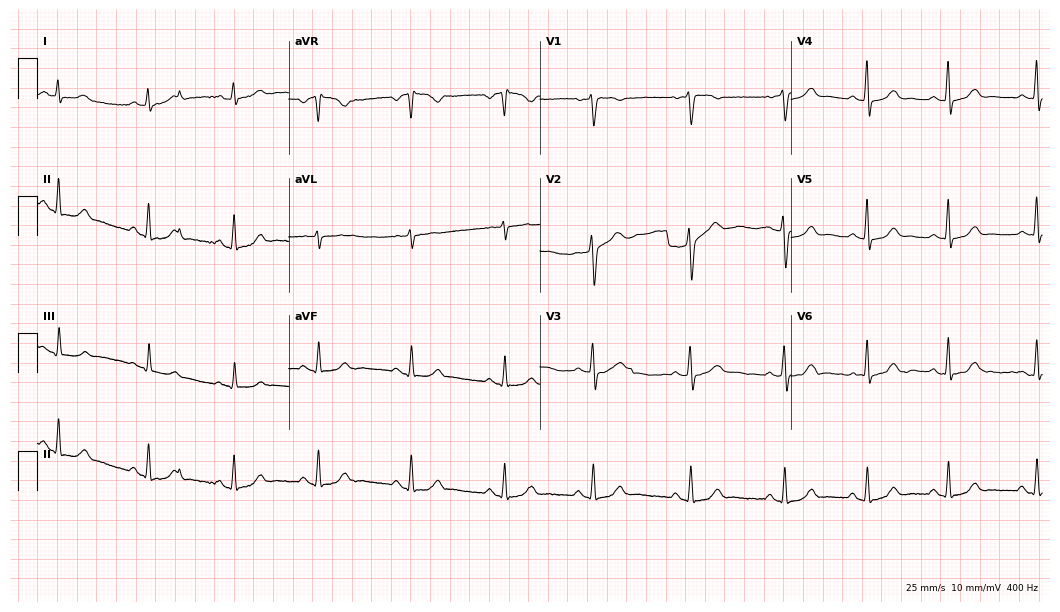
Standard 12-lead ECG recorded from a 35-year-old female patient (10.2-second recording at 400 Hz). Read as a normal ECG.